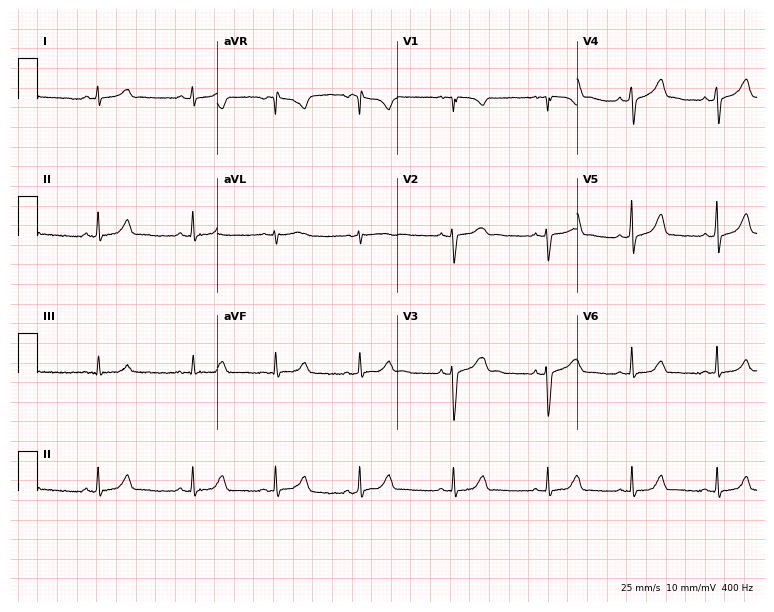
Resting 12-lead electrocardiogram (7.3-second recording at 400 Hz). Patient: a female, 23 years old. Read as a normal ECG.